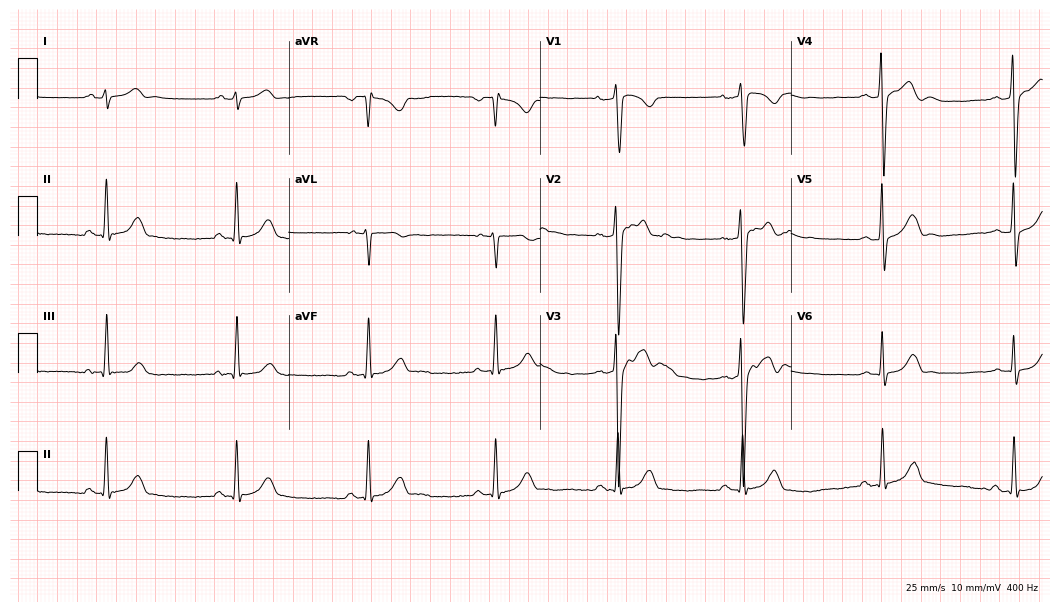
Resting 12-lead electrocardiogram (10.2-second recording at 400 Hz). Patient: a 22-year-old man. None of these six findings is recorded: first-degree AV block, right bundle branch block, left bundle branch block, sinus bradycardia, atrial fibrillation, sinus tachycardia.